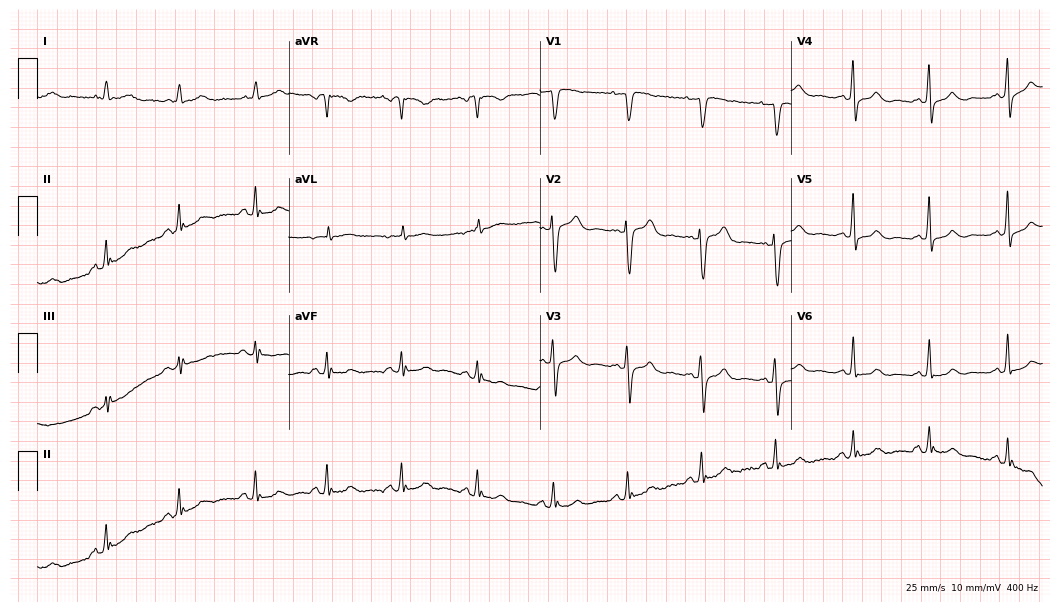
Electrocardiogram (10.2-second recording at 400 Hz), a 67-year-old woman. Overall reading on record: normal ECG.